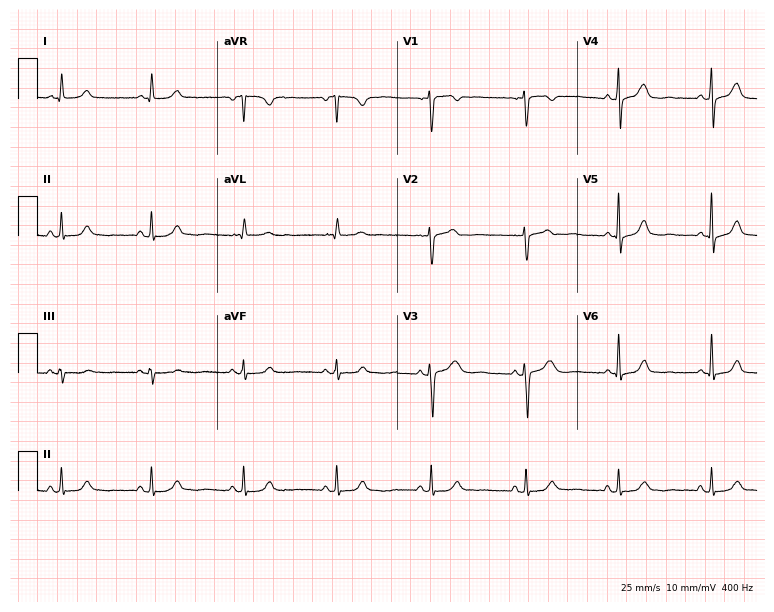
Resting 12-lead electrocardiogram (7.3-second recording at 400 Hz). Patient: a 56-year-old female. None of these six findings is recorded: first-degree AV block, right bundle branch block, left bundle branch block, sinus bradycardia, atrial fibrillation, sinus tachycardia. Only these six findings were labelled.